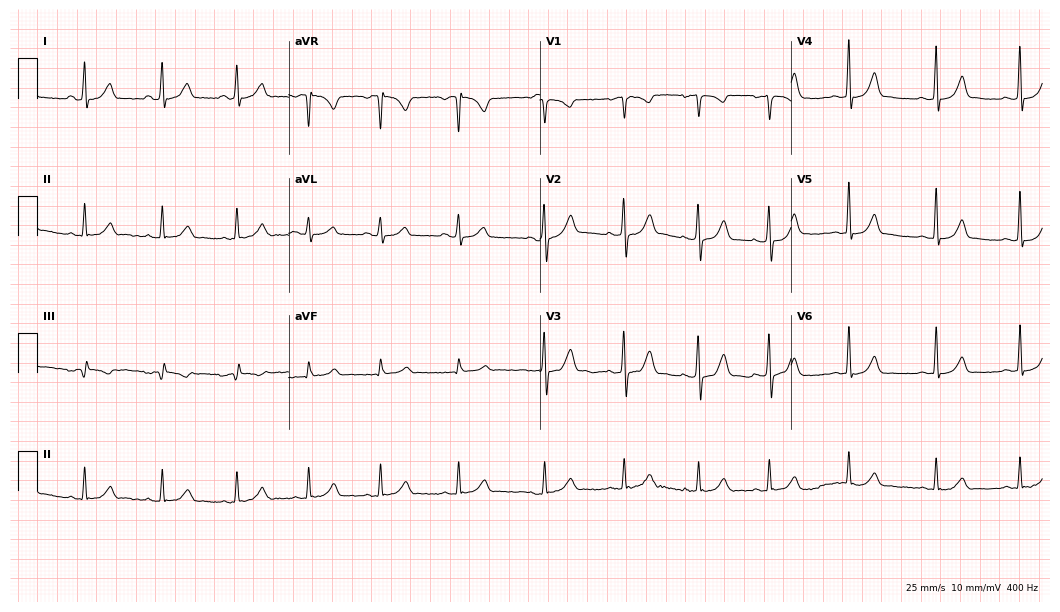
Resting 12-lead electrocardiogram. Patient: a female, 34 years old. Read as a normal ECG.